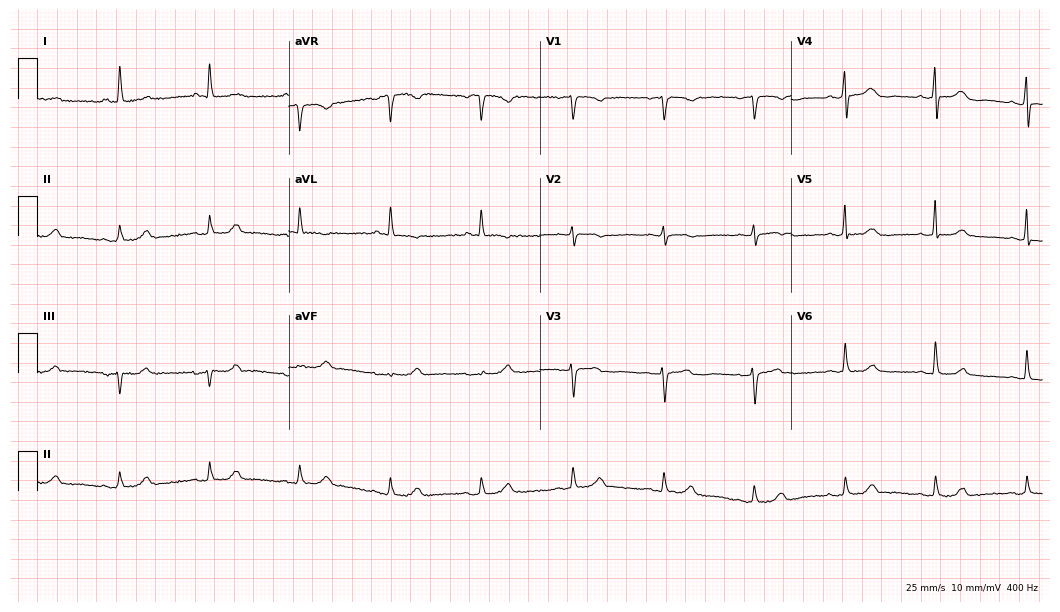
12-lead ECG from a 79-year-old female. Recorded interpretation: within normal limits.